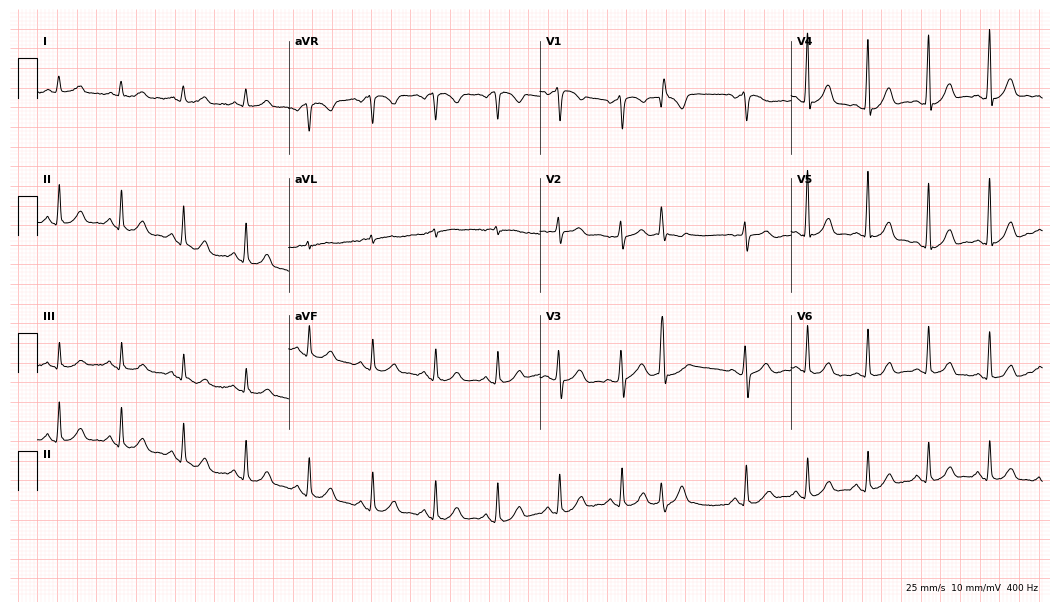
ECG (10.2-second recording at 400 Hz) — a male, 75 years old. Labelled as a normal ECG.